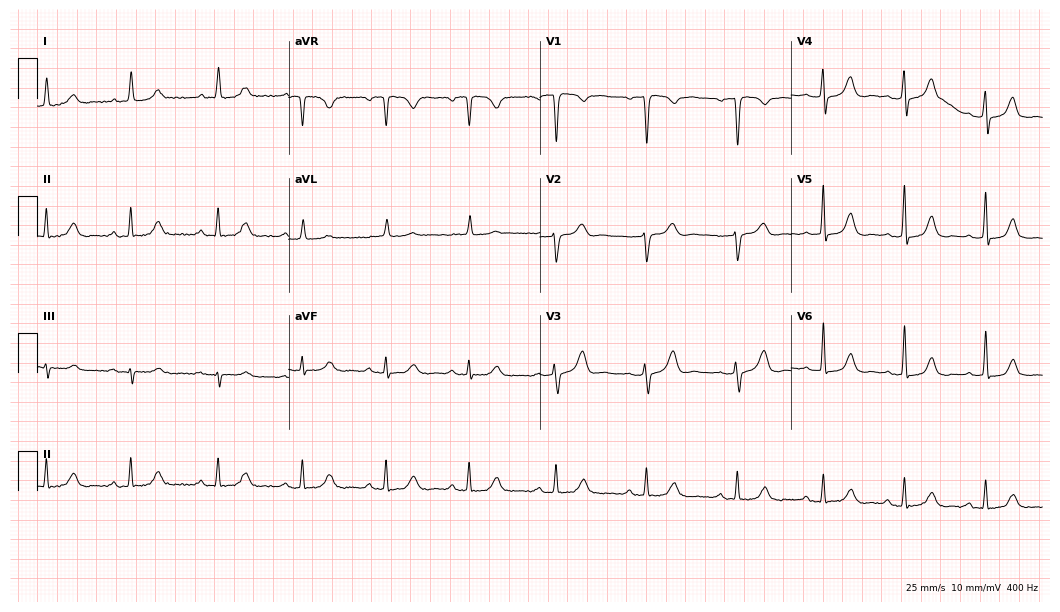
12-lead ECG from a woman, 75 years old (10.2-second recording at 400 Hz). Recorded interpretation: within normal limits.